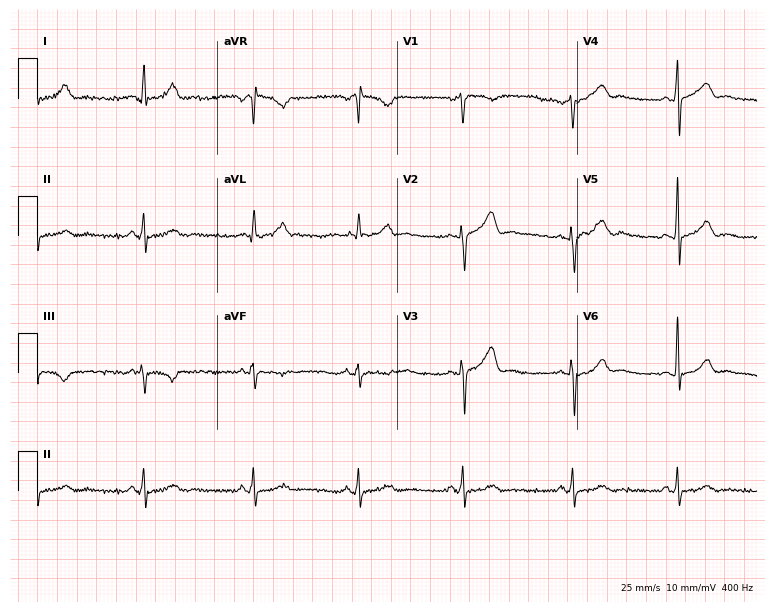
12-lead ECG from a female, 44 years old. Labelled as a normal ECG.